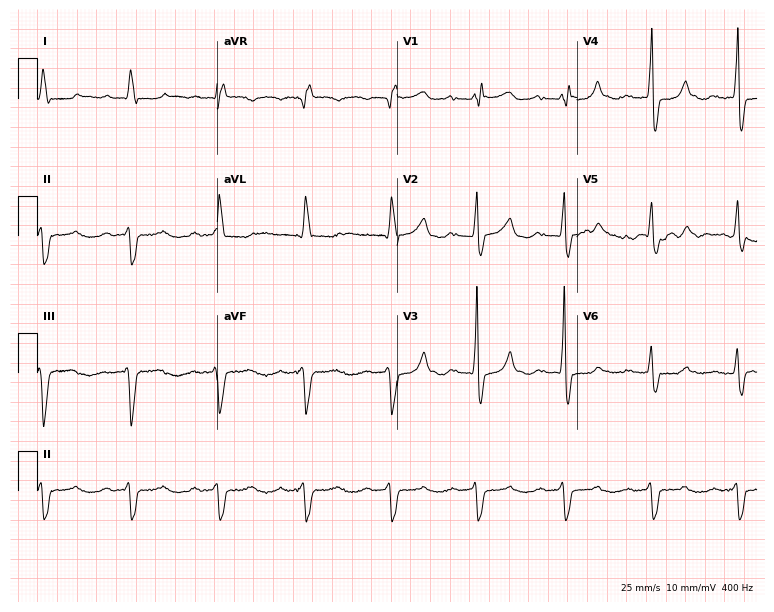
ECG (7.3-second recording at 400 Hz) — a man, 76 years old. Screened for six findings — first-degree AV block, right bundle branch block, left bundle branch block, sinus bradycardia, atrial fibrillation, sinus tachycardia — none is recorded.